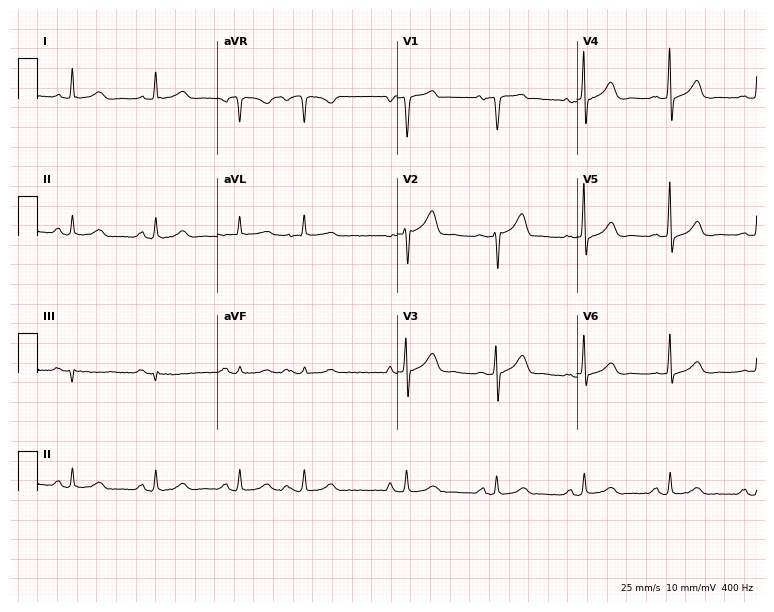
Resting 12-lead electrocardiogram (7.3-second recording at 400 Hz). Patient: a 76-year-old male. None of these six findings is recorded: first-degree AV block, right bundle branch block, left bundle branch block, sinus bradycardia, atrial fibrillation, sinus tachycardia. Other findings, if any, are not listed.